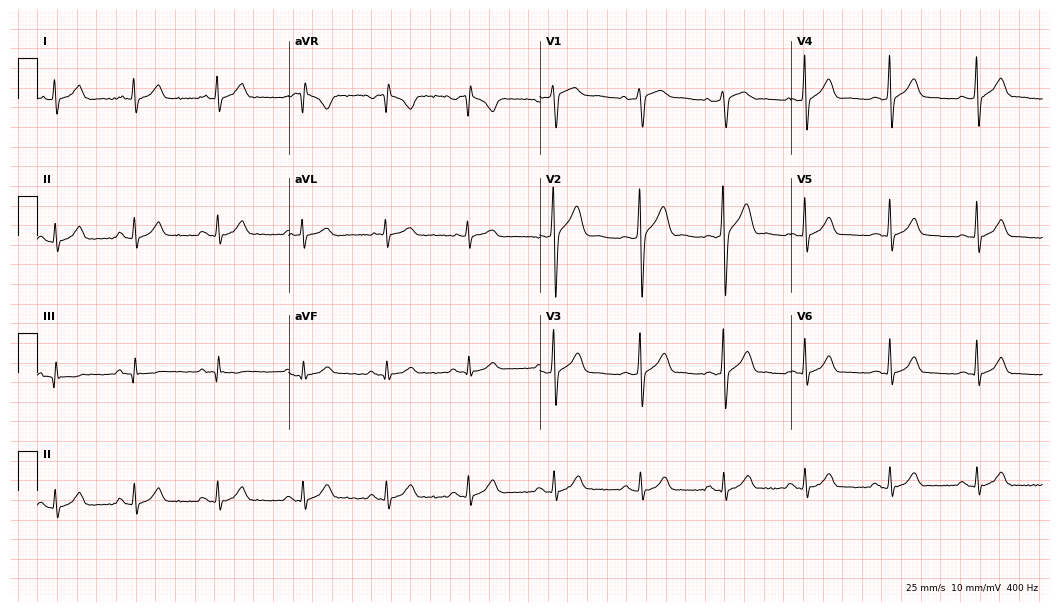
Electrocardiogram, a 27-year-old male. Overall reading on record: normal ECG.